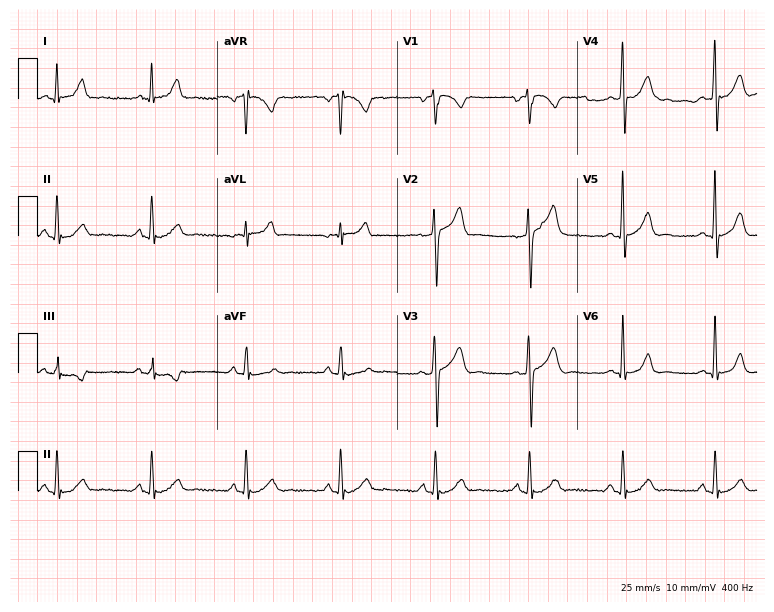
Electrocardiogram (7.3-second recording at 400 Hz), a 55-year-old man. Of the six screened findings (first-degree AV block, right bundle branch block (RBBB), left bundle branch block (LBBB), sinus bradycardia, atrial fibrillation (AF), sinus tachycardia), none is recorded. Other findings, if any, are not listed.